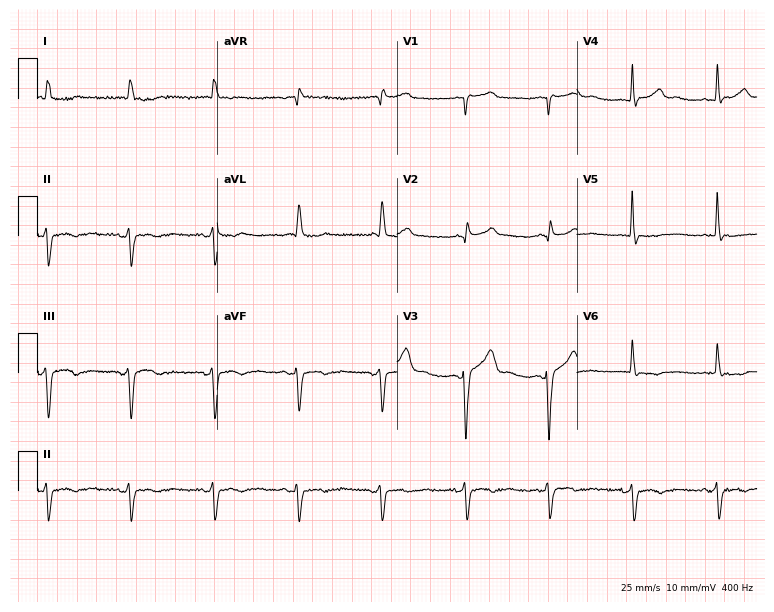
ECG — a male patient, 74 years old. Screened for six findings — first-degree AV block, right bundle branch block (RBBB), left bundle branch block (LBBB), sinus bradycardia, atrial fibrillation (AF), sinus tachycardia — none is recorded.